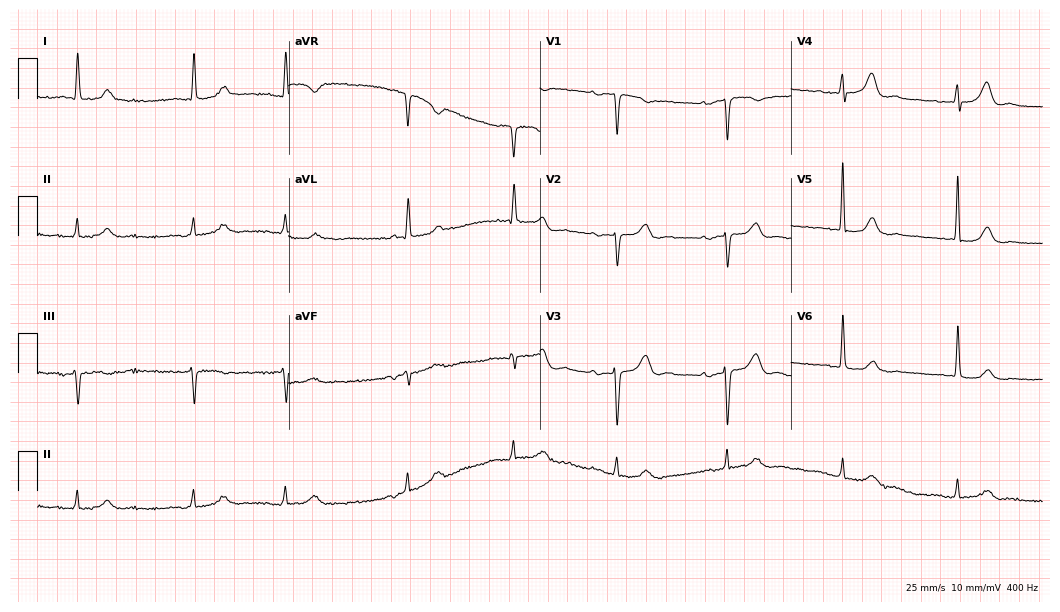
Electrocardiogram (10.2-second recording at 400 Hz), an 83-year-old woman. Interpretation includes first-degree AV block.